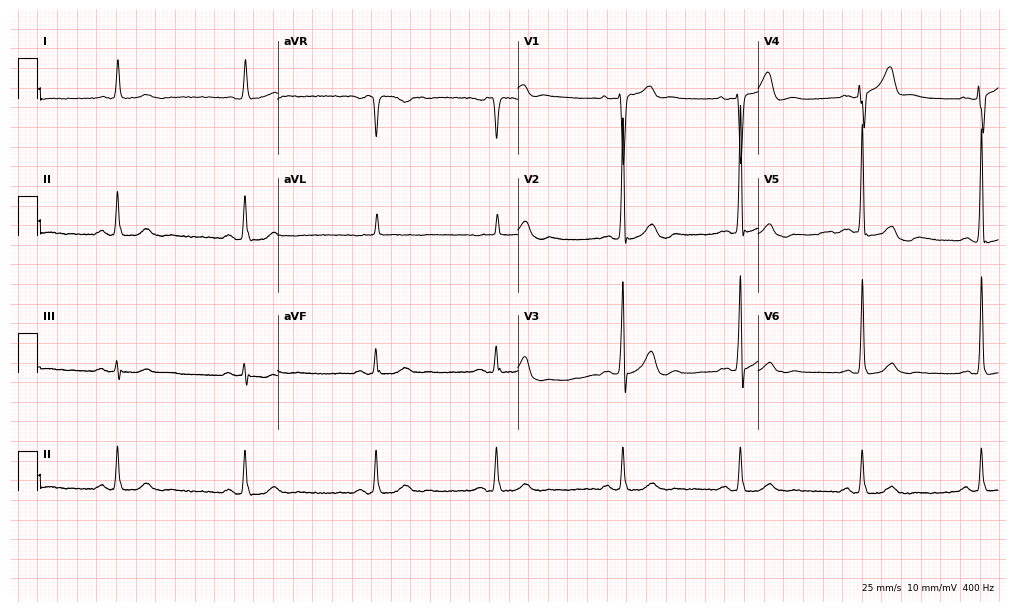
Standard 12-lead ECG recorded from a male, 75 years old. The tracing shows sinus bradycardia (a sinus rate of 50 beats per minute or less).